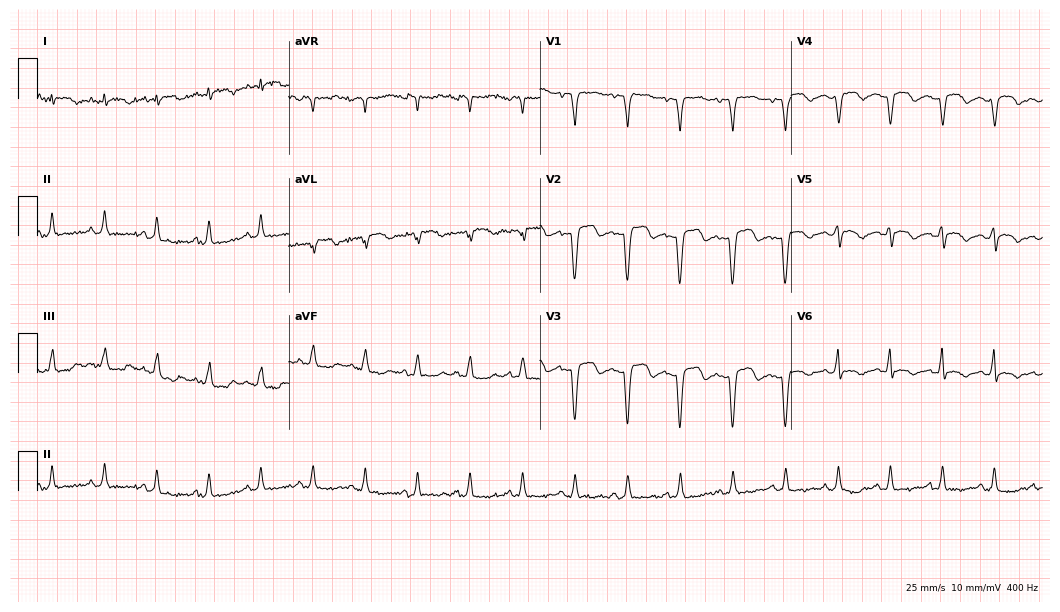
12-lead ECG from a woman, 42 years old. Screened for six findings — first-degree AV block, right bundle branch block, left bundle branch block, sinus bradycardia, atrial fibrillation, sinus tachycardia — none is recorded.